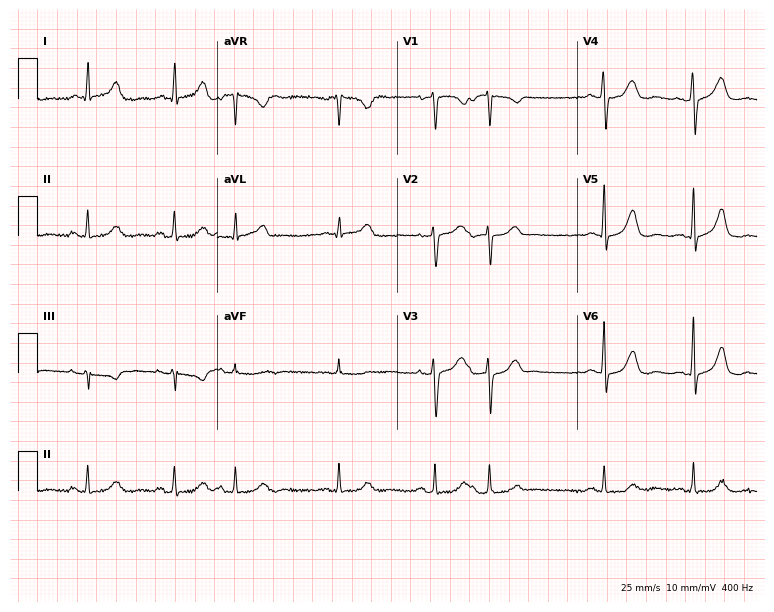
Electrocardiogram, a female patient, 57 years old. Overall reading on record: normal ECG.